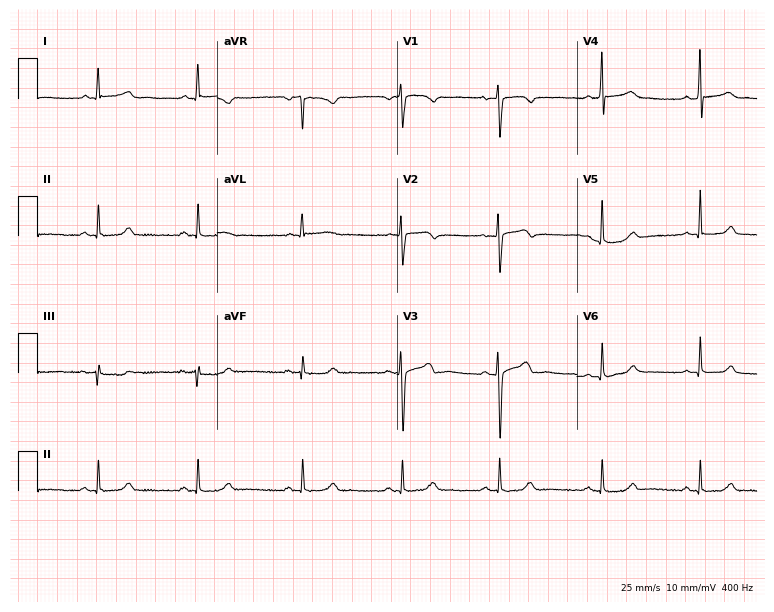
ECG (7.3-second recording at 400 Hz) — a woman, 30 years old. Screened for six findings — first-degree AV block, right bundle branch block (RBBB), left bundle branch block (LBBB), sinus bradycardia, atrial fibrillation (AF), sinus tachycardia — none is recorded. Findings outside these six are not listed.